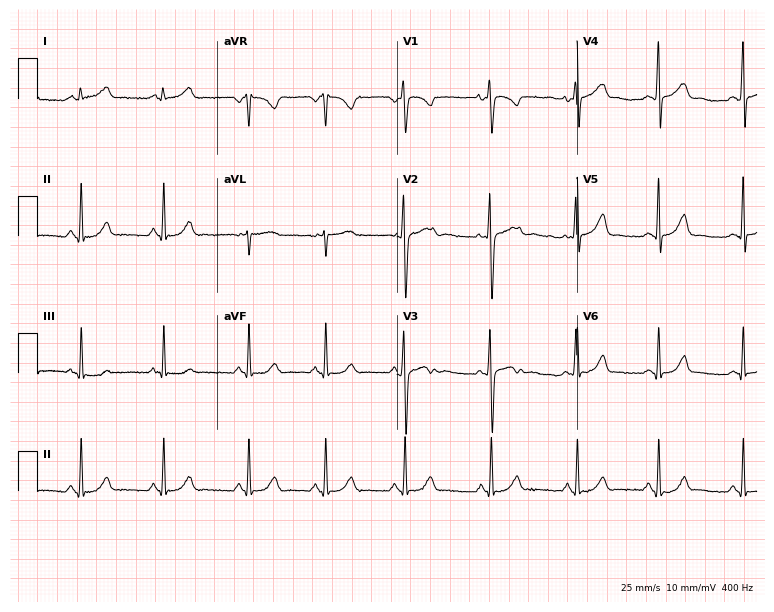
Resting 12-lead electrocardiogram (7.3-second recording at 400 Hz). Patient: an 18-year-old female. Read as a normal ECG.